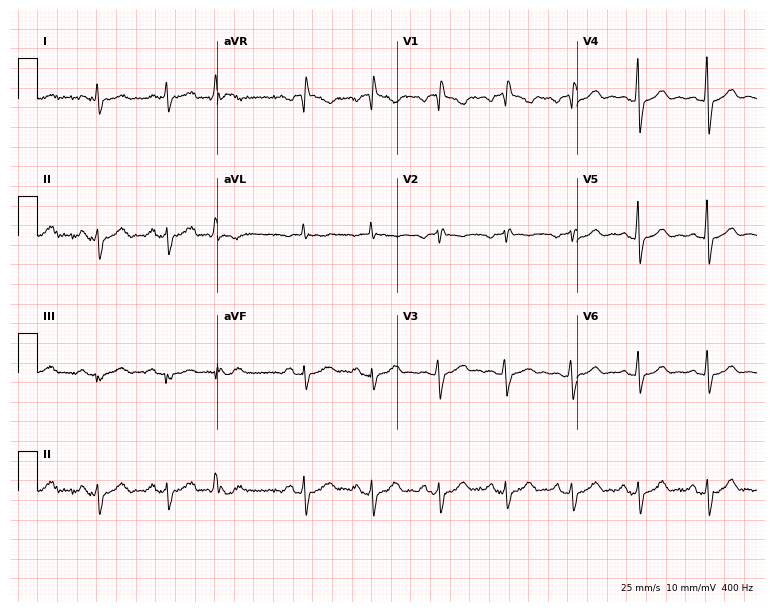
Electrocardiogram (7.3-second recording at 400 Hz), a male patient, 55 years old. Of the six screened findings (first-degree AV block, right bundle branch block, left bundle branch block, sinus bradycardia, atrial fibrillation, sinus tachycardia), none is recorded.